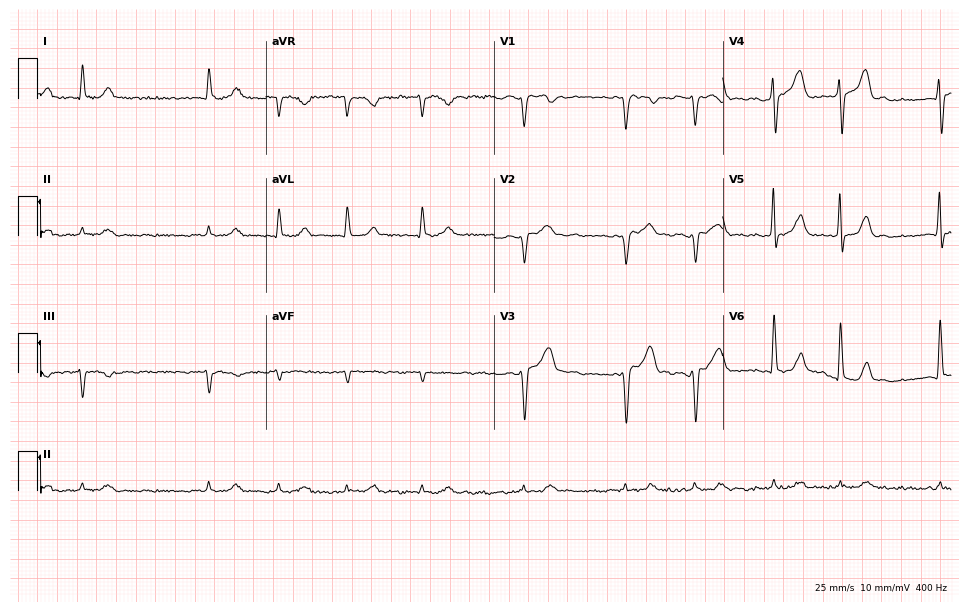
Resting 12-lead electrocardiogram. Patient: a male, 77 years old. The tracing shows atrial fibrillation.